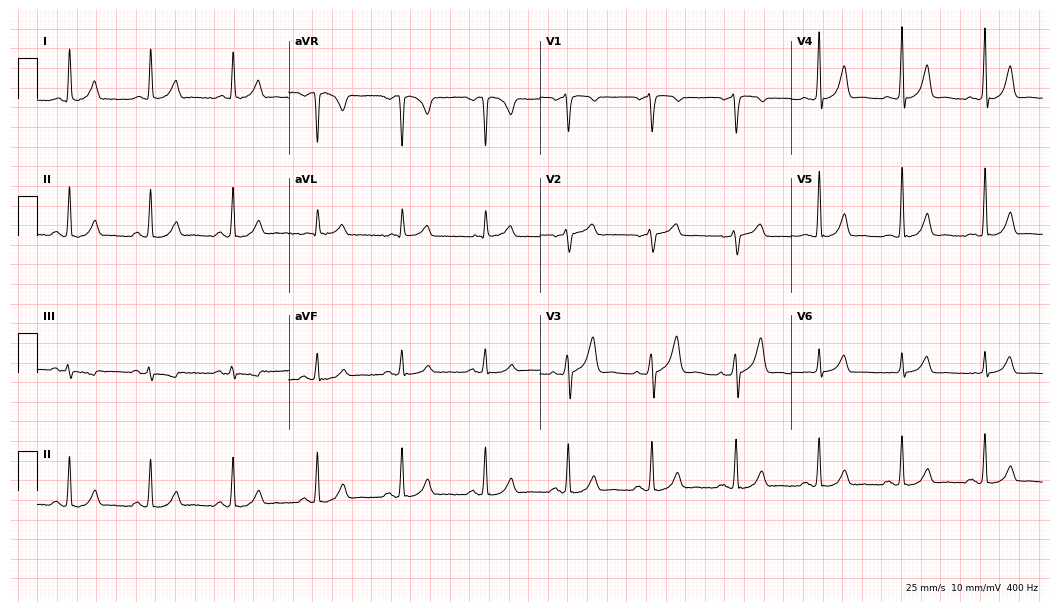
Resting 12-lead electrocardiogram. Patient: a male, 63 years old. Read as a normal ECG.